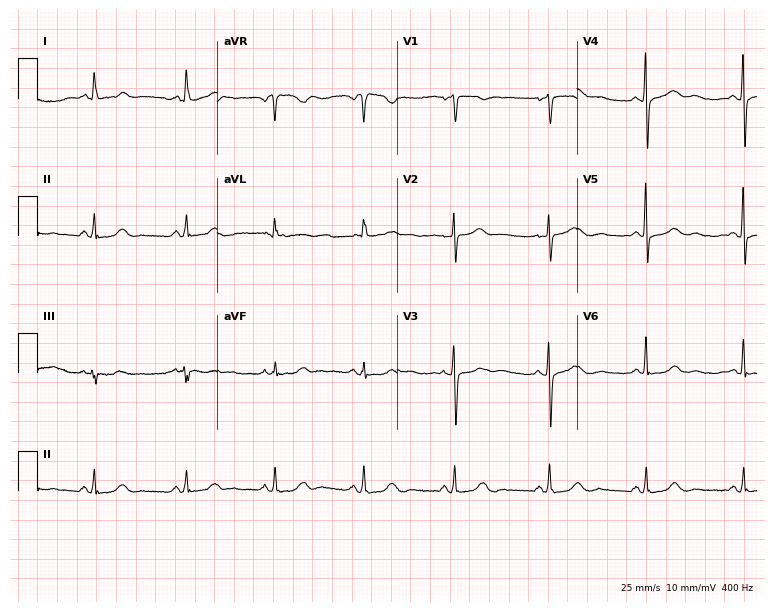
12-lead ECG from a woman, 62 years old. Labelled as a normal ECG.